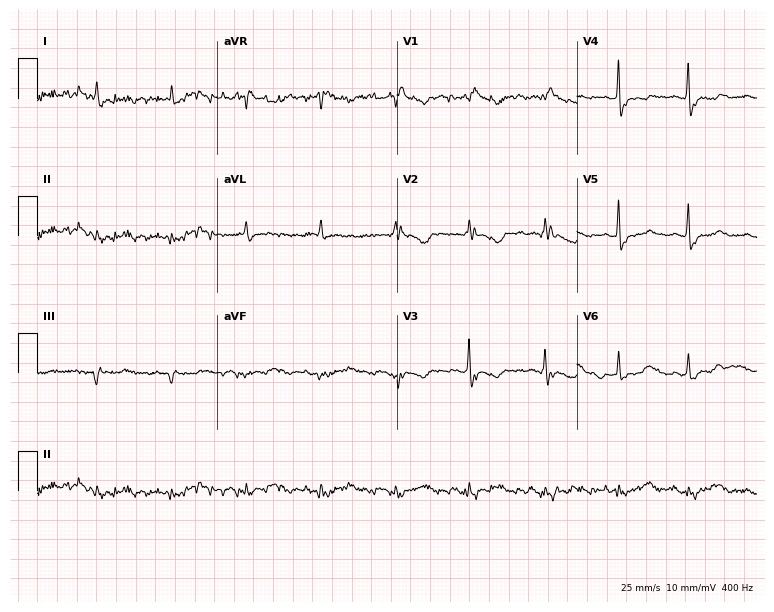
12-lead ECG from a 62-year-old woman. No first-degree AV block, right bundle branch block (RBBB), left bundle branch block (LBBB), sinus bradycardia, atrial fibrillation (AF) or sinus tachycardia recorded for this tracing. Only these six findings were labelled.